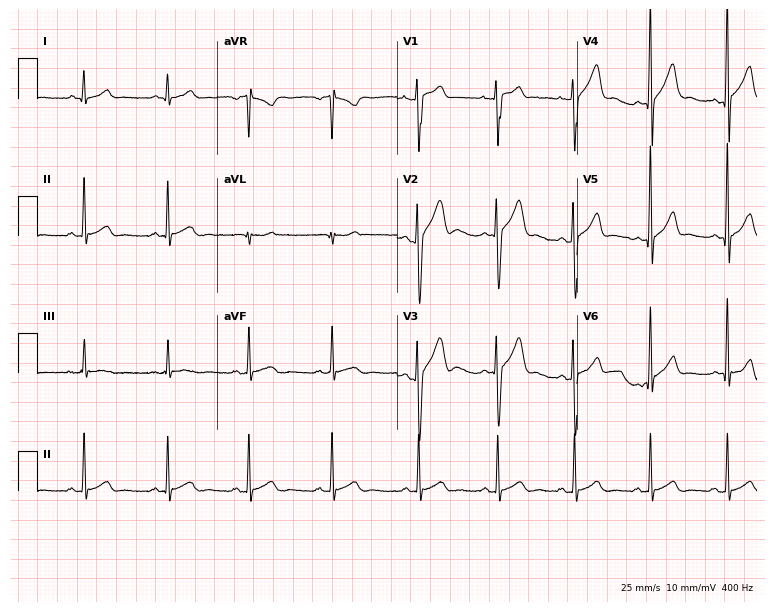
Resting 12-lead electrocardiogram. Patient: a male, 19 years old. Read as a normal ECG.